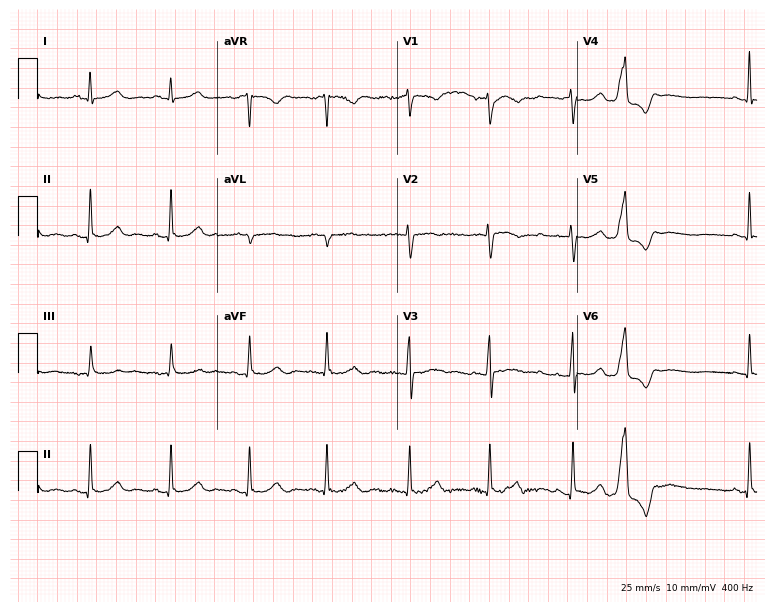
Standard 12-lead ECG recorded from a female patient, 46 years old. Read as a normal ECG.